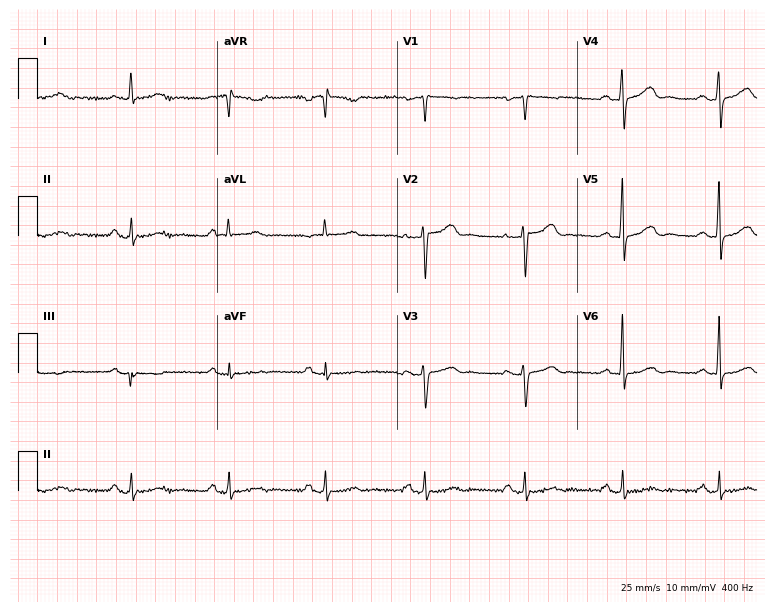
Resting 12-lead electrocardiogram (7.3-second recording at 400 Hz). Patient: a female, 56 years old. Read as a normal ECG.